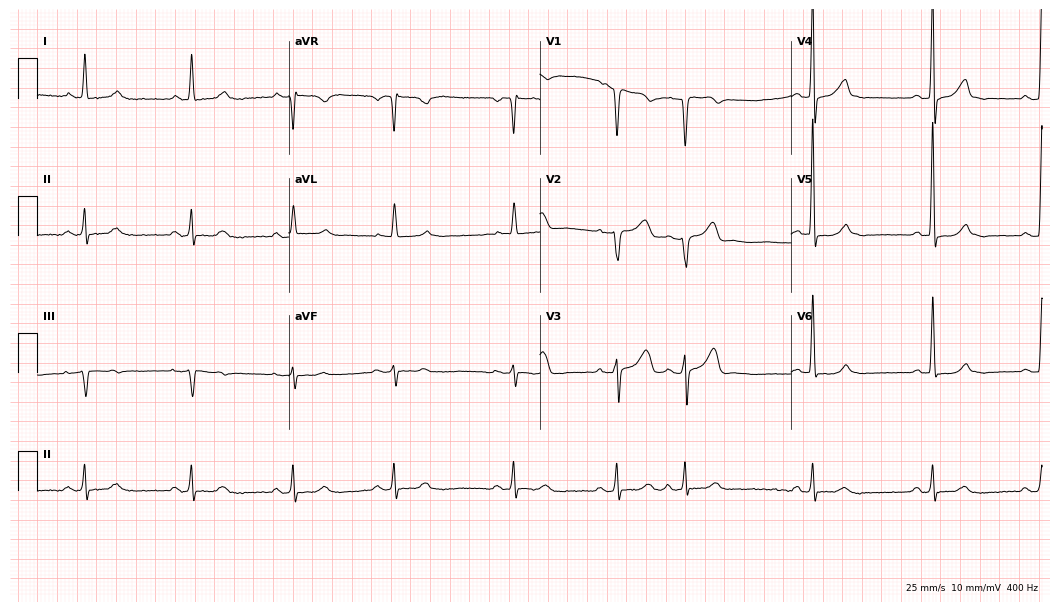
ECG (10.2-second recording at 400 Hz) — a man, 60 years old. Screened for six findings — first-degree AV block, right bundle branch block, left bundle branch block, sinus bradycardia, atrial fibrillation, sinus tachycardia — none is recorded.